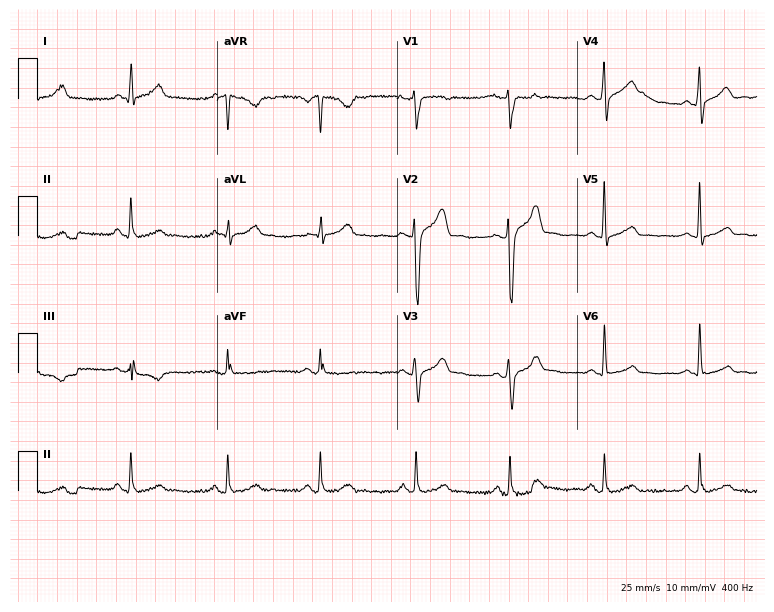
ECG — a man, 32 years old. Labelled as a normal ECG.